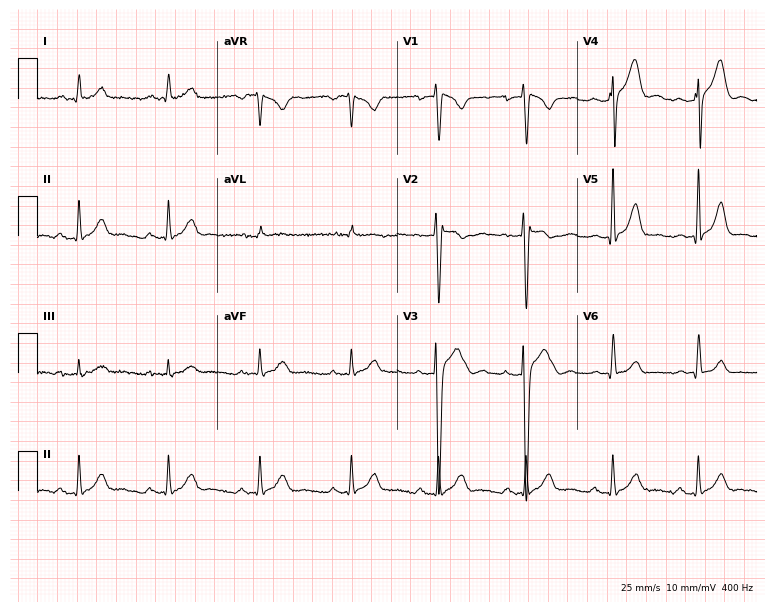
12-lead ECG (7.3-second recording at 400 Hz) from a man, 24 years old. Screened for six findings — first-degree AV block, right bundle branch block, left bundle branch block, sinus bradycardia, atrial fibrillation, sinus tachycardia — none is recorded. Only these six findings were labelled.